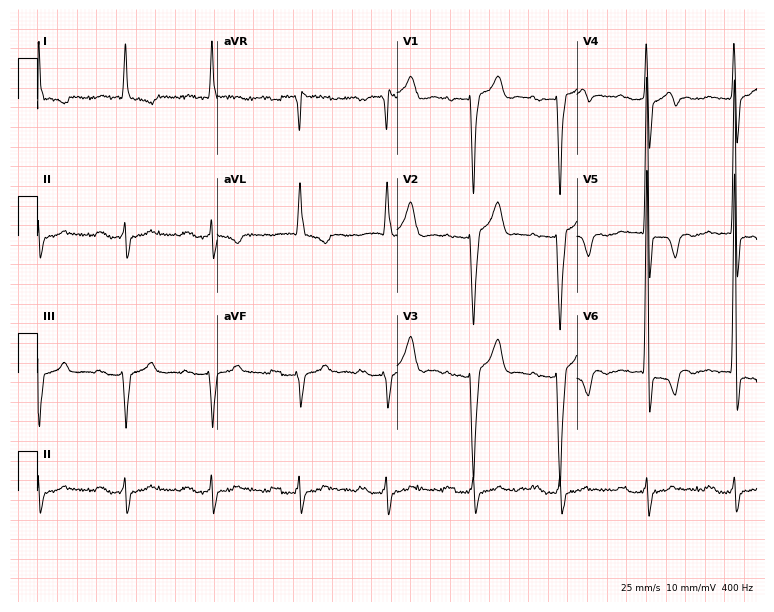
Standard 12-lead ECG recorded from a man, 81 years old. The tracing shows first-degree AV block.